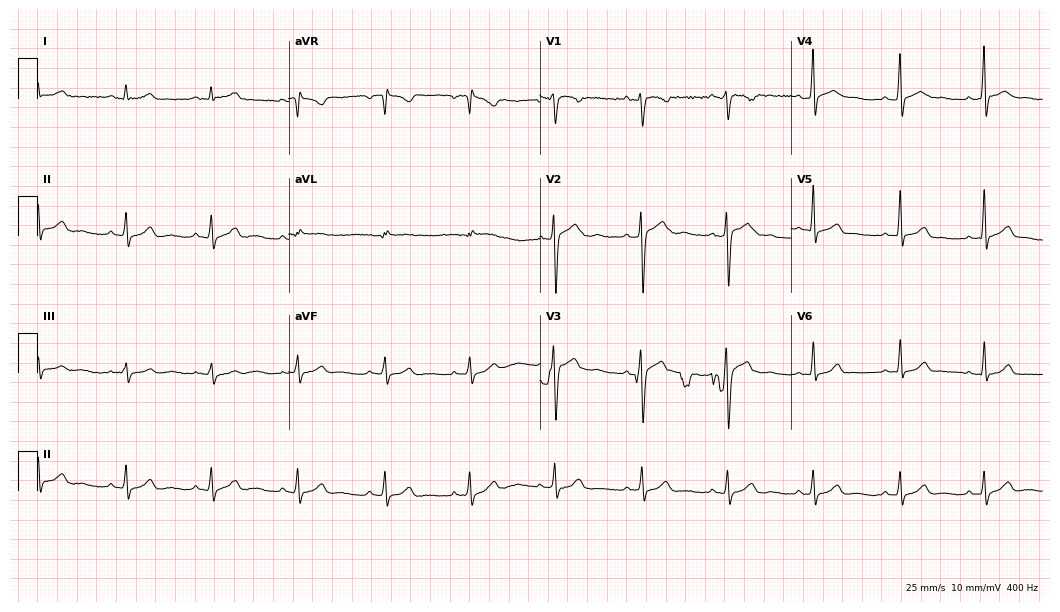
12-lead ECG from an 18-year-old male patient. Labelled as a normal ECG.